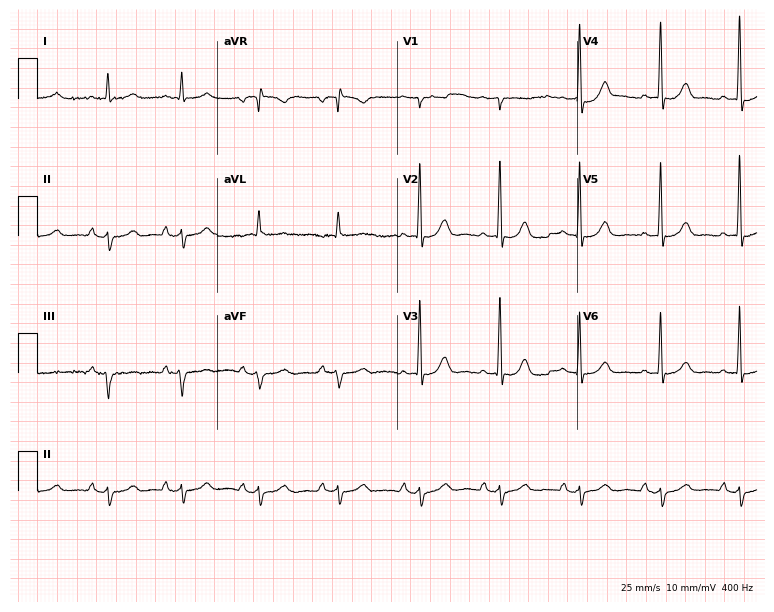
12-lead ECG from a 76-year-old male patient. Screened for six findings — first-degree AV block, right bundle branch block, left bundle branch block, sinus bradycardia, atrial fibrillation, sinus tachycardia — none is recorded.